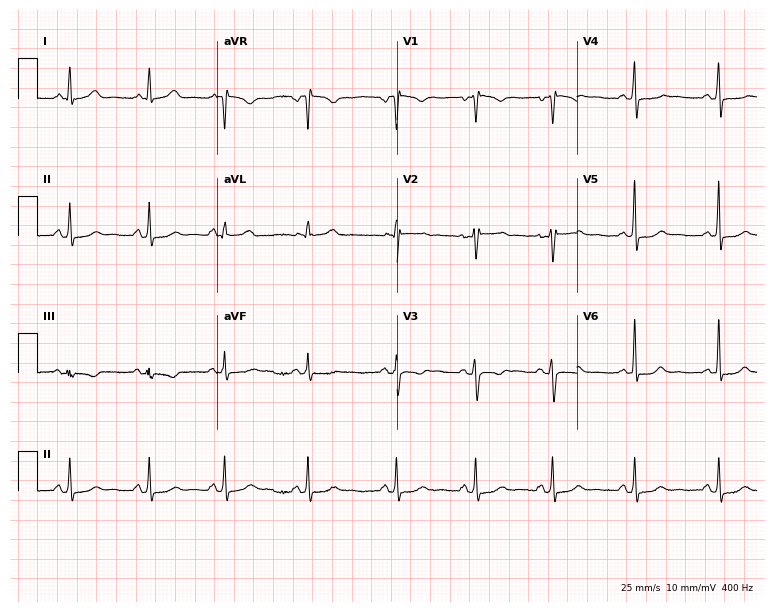
ECG (7.3-second recording at 400 Hz) — a 31-year-old woman. Screened for six findings — first-degree AV block, right bundle branch block (RBBB), left bundle branch block (LBBB), sinus bradycardia, atrial fibrillation (AF), sinus tachycardia — none is recorded. Only these six findings were labelled.